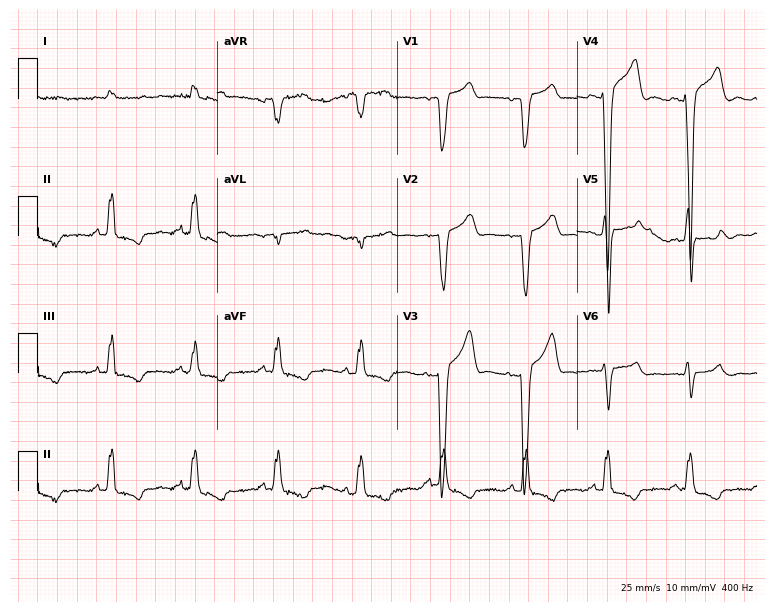
Electrocardiogram (7.3-second recording at 400 Hz), a female patient, 63 years old. Of the six screened findings (first-degree AV block, right bundle branch block (RBBB), left bundle branch block (LBBB), sinus bradycardia, atrial fibrillation (AF), sinus tachycardia), none is recorded. Only these six findings were labelled.